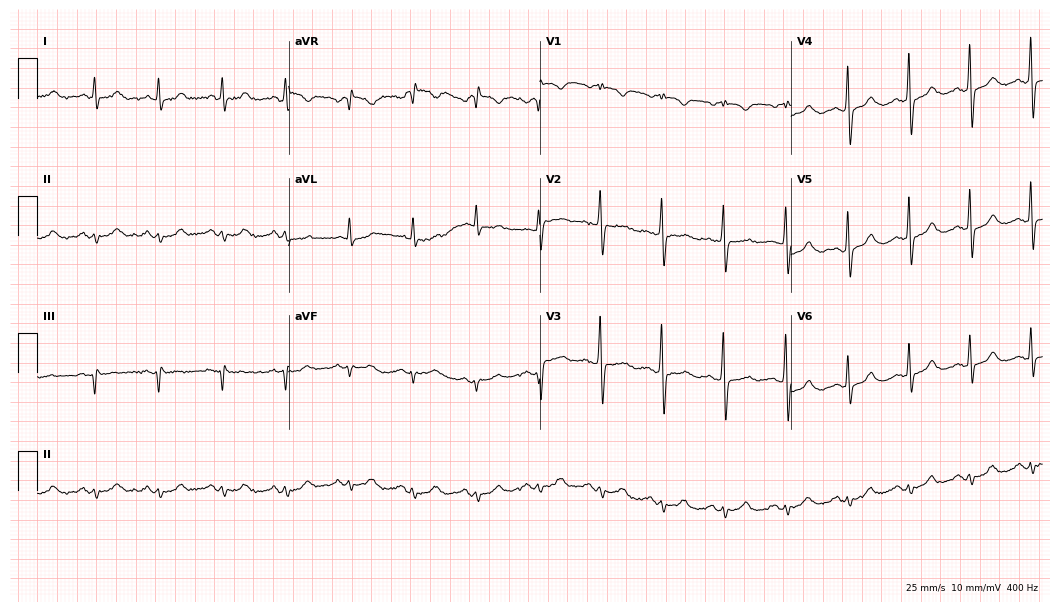
Standard 12-lead ECG recorded from a 53-year-old male (10.2-second recording at 400 Hz). Read as a normal ECG.